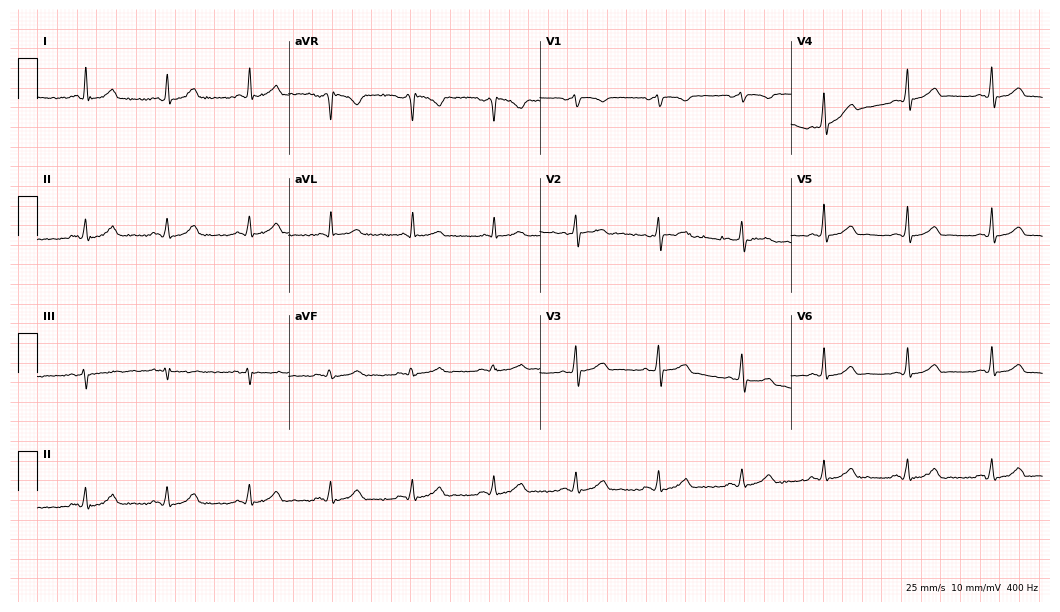
Electrocardiogram, a male patient, 57 years old. Overall reading on record: normal ECG.